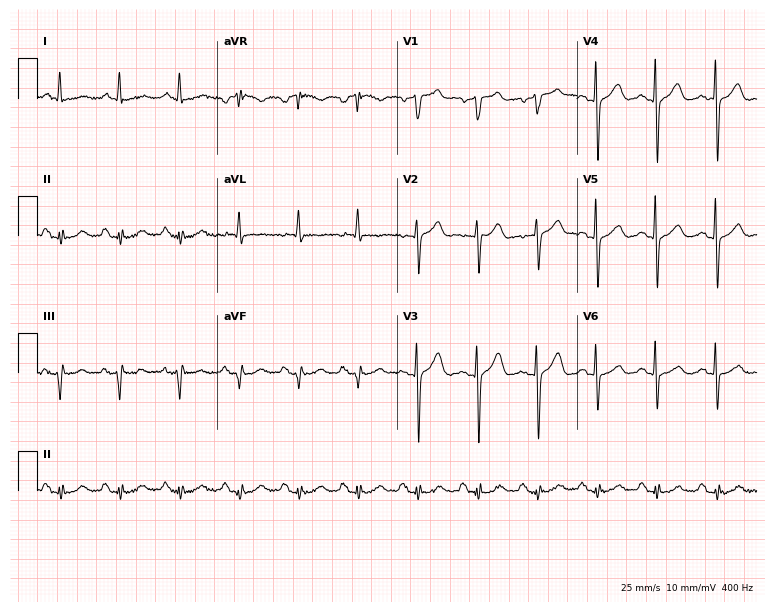
Resting 12-lead electrocardiogram. Patient: a 63-year-old man. None of these six findings is recorded: first-degree AV block, right bundle branch block, left bundle branch block, sinus bradycardia, atrial fibrillation, sinus tachycardia. Other findings, if any, are not listed.